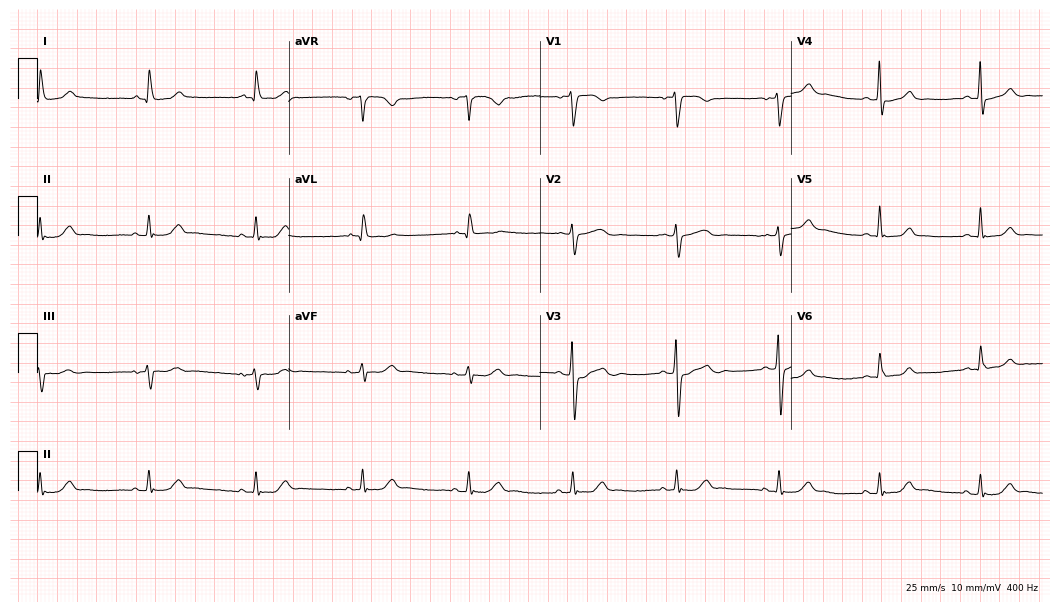
ECG (10.2-second recording at 400 Hz) — a 60-year-old male patient. Labelled as a normal ECG.